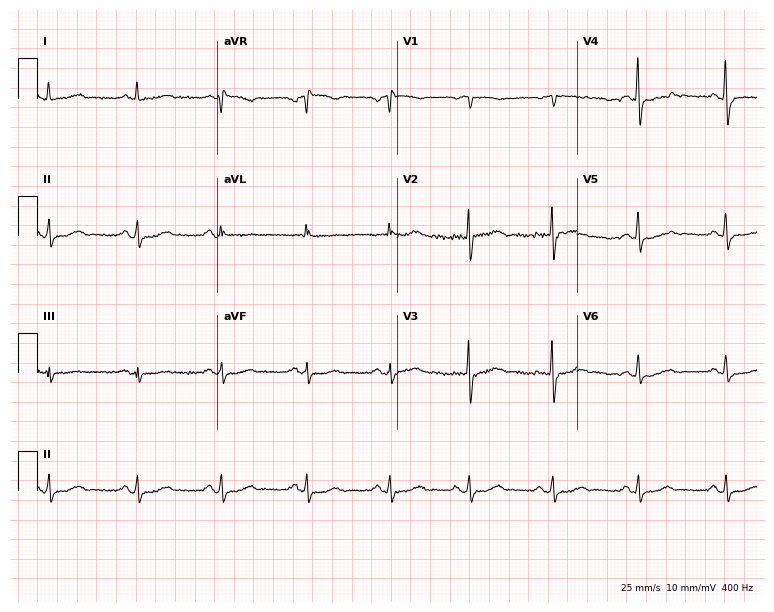
Electrocardiogram (7.3-second recording at 400 Hz), a 60-year-old female. Overall reading on record: normal ECG.